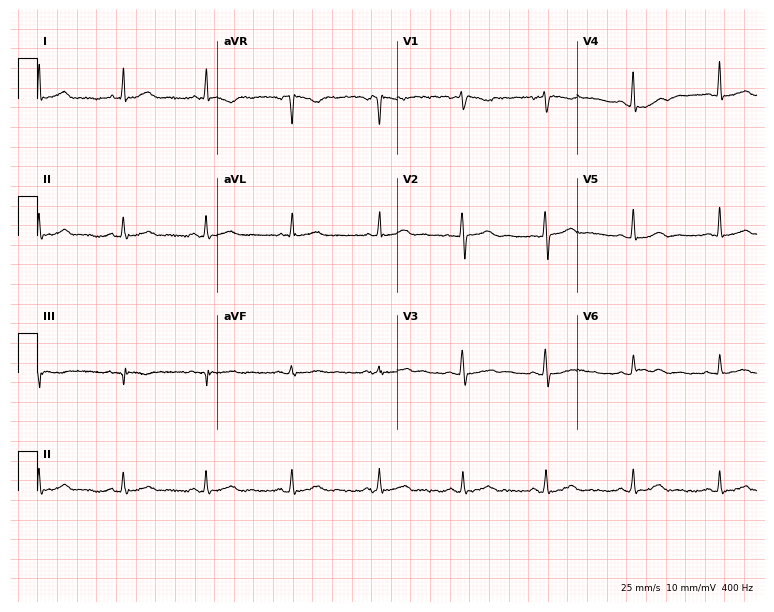
12-lead ECG from a 40-year-old woman (7.3-second recording at 400 Hz). Recorded interpretation: within normal limits.